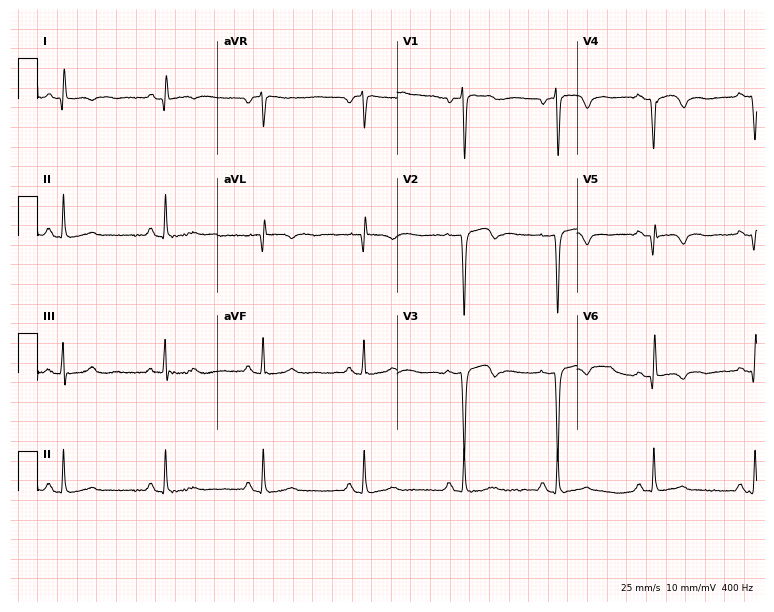
Standard 12-lead ECG recorded from a 50-year-old man. None of these six findings is recorded: first-degree AV block, right bundle branch block (RBBB), left bundle branch block (LBBB), sinus bradycardia, atrial fibrillation (AF), sinus tachycardia. Only these six findings were labelled.